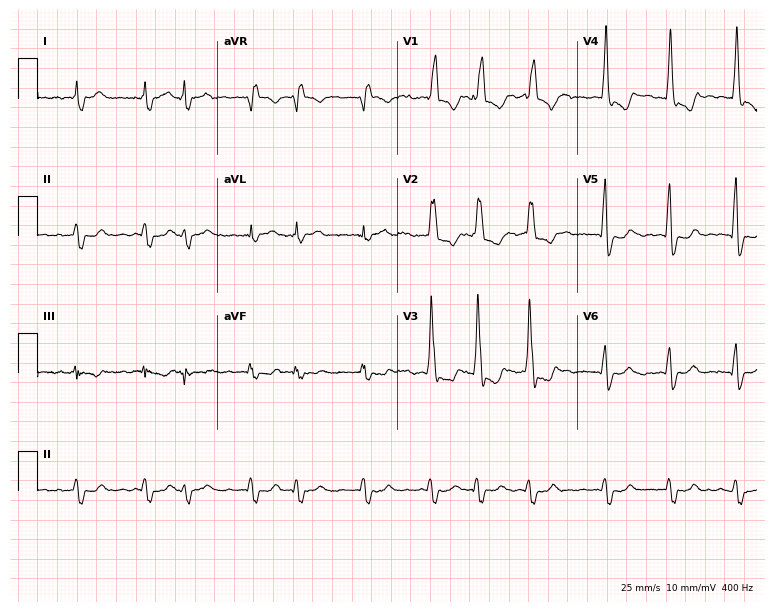
Electrocardiogram, a male, 65 years old. Interpretation includes right bundle branch block, atrial fibrillation.